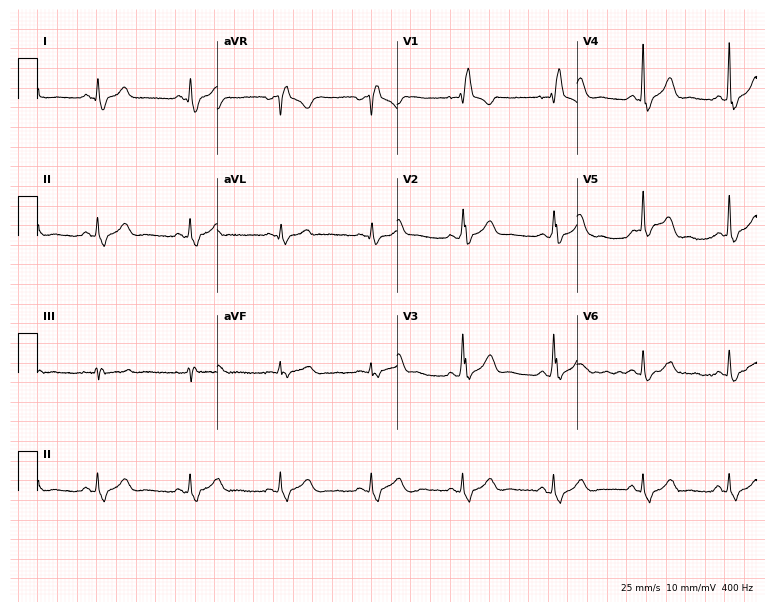
Resting 12-lead electrocardiogram (7.3-second recording at 400 Hz). Patient: a female, 54 years old. The tracing shows right bundle branch block.